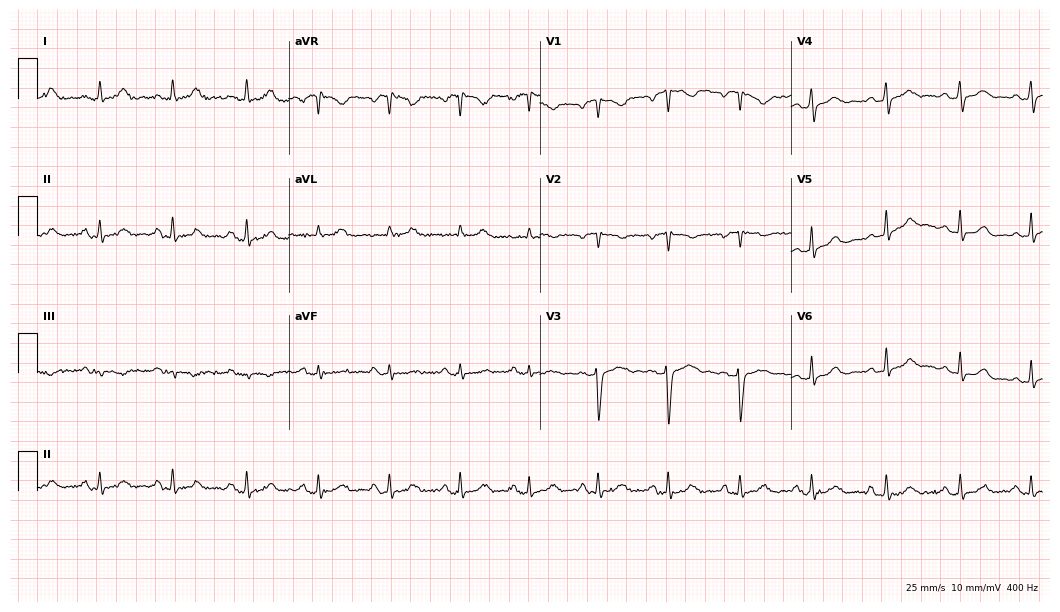
12-lead ECG from a 30-year-old woman. Labelled as a normal ECG.